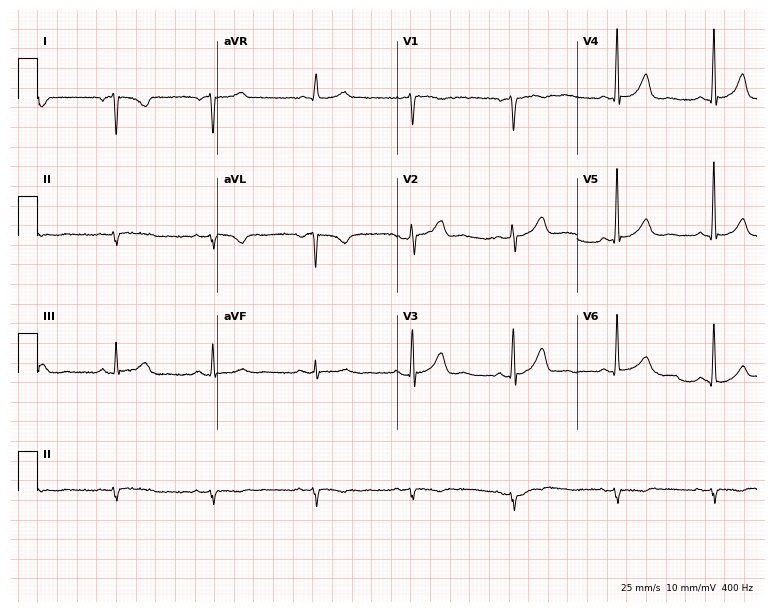
Electrocardiogram, a female, 61 years old. Of the six screened findings (first-degree AV block, right bundle branch block, left bundle branch block, sinus bradycardia, atrial fibrillation, sinus tachycardia), none is recorded. Other findings, if any, are not listed.